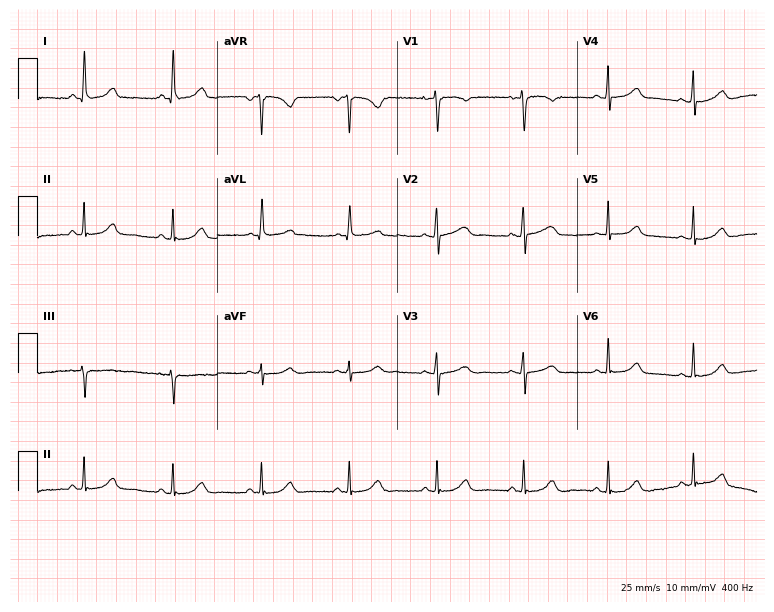
12-lead ECG from a female, 40 years old. Labelled as a normal ECG.